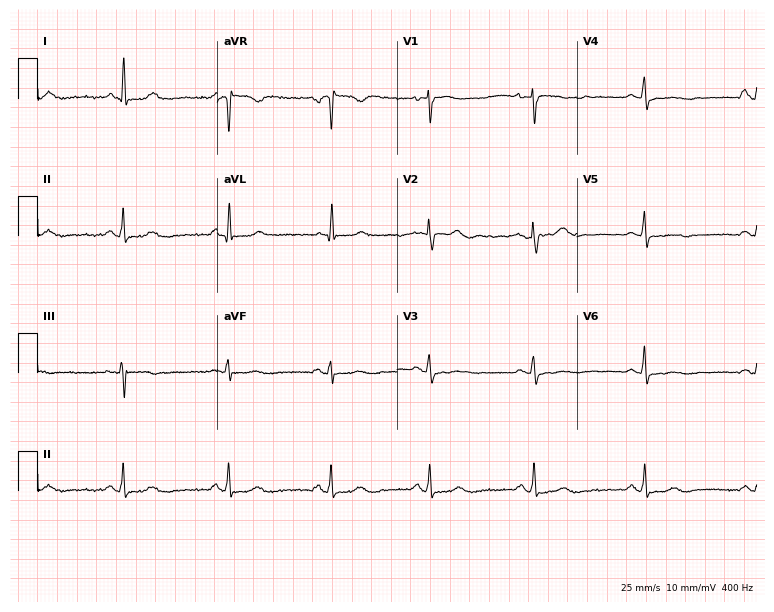
12-lead ECG (7.3-second recording at 400 Hz) from a female patient, 61 years old. Screened for six findings — first-degree AV block, right bundle branch block (RBBB), left bundle branch block (LBBB), sinus bradycardia, atrial fibrillation (AF), sinus tachycardia — none is recorded. Other findings, if any, are not listed.